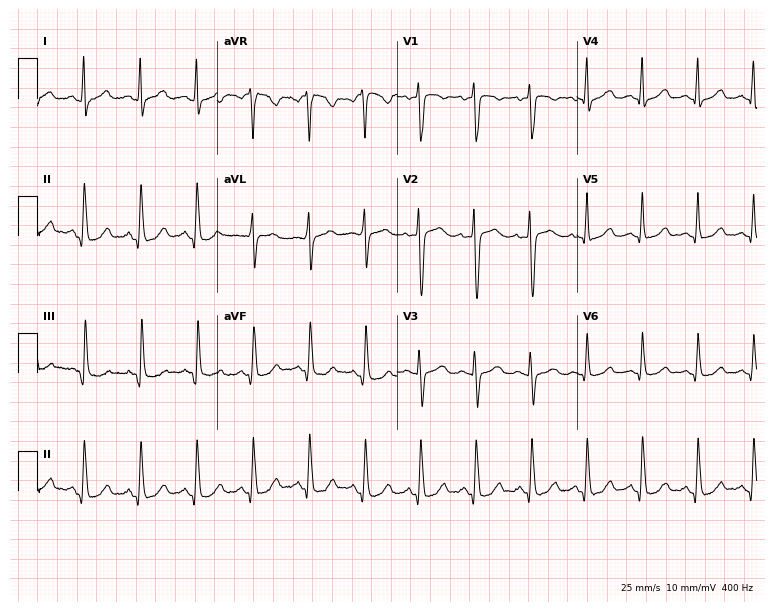
12-lead ECG (7.3-second recording at 400 Hz) from a 31-year-old woman. Findings include sinus tachycardia (a sinus rate of 100 beats per minute or more).